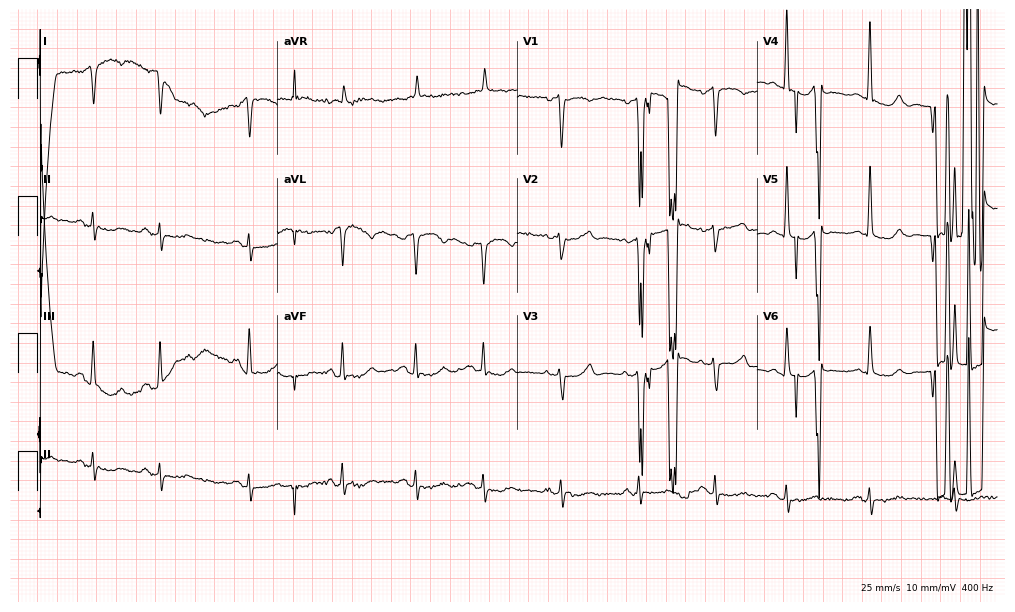
Resting 12-lead electrocardiogram (9.8-second recording at 400 Hz). Patient: a female, 74 years old. None of these six findings is recorded: first-degree AV block, right bundle branch block (RBBB), left bundle branch block (LBBB), sinus bradycardia, atrial fibrillation (AF), sinus tachycardia.